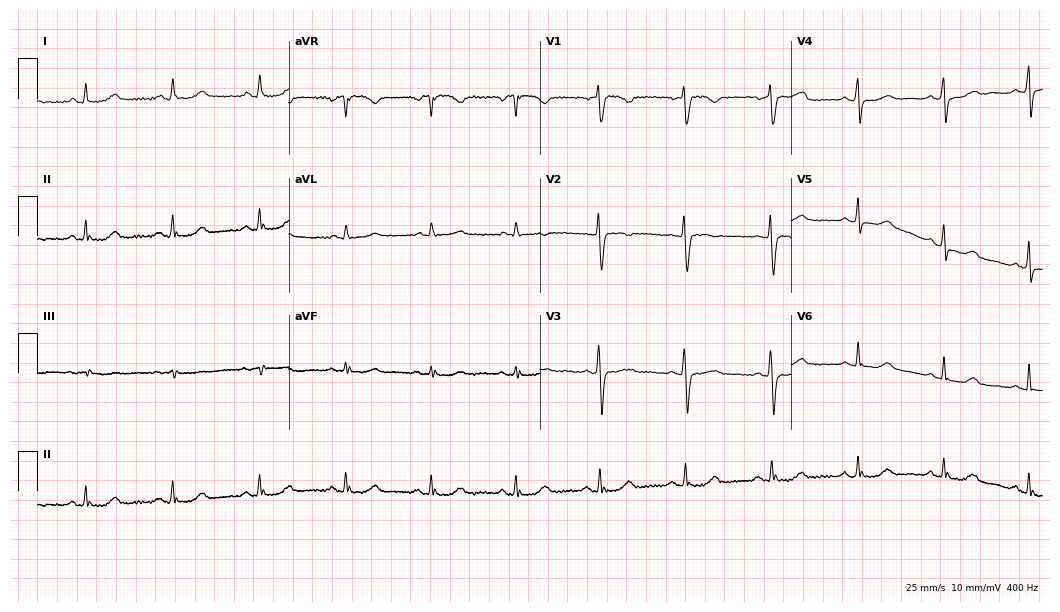
ECG — a 58-year-old female. Labelled as a normal ECG.